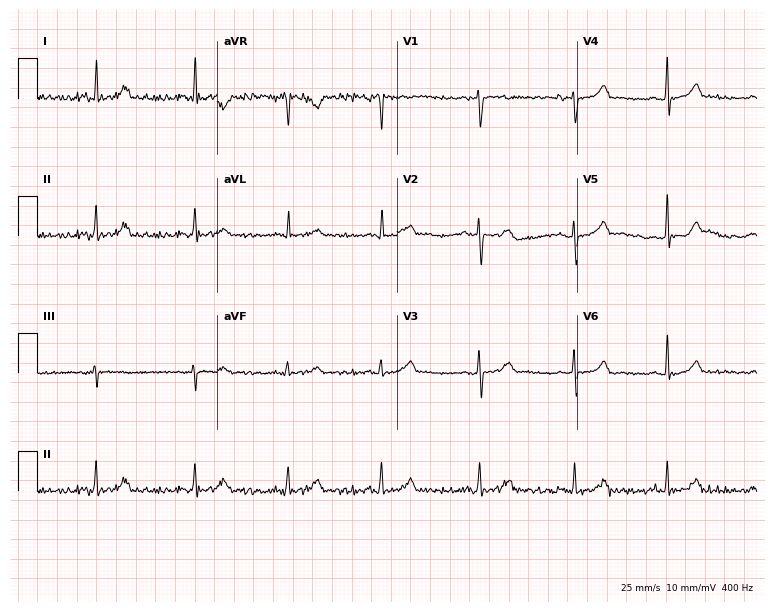
Electrocardiogram (7.3-second recording at 400 Hz), a female patient, 44 years old. Of the six screened findings (first-degree AV block, right bundle branch block (RBBB), left bundle branch block (LBBB), sinus bradycardia, atrial fibrillation (AF), sinus tachycardia), none is recorded.